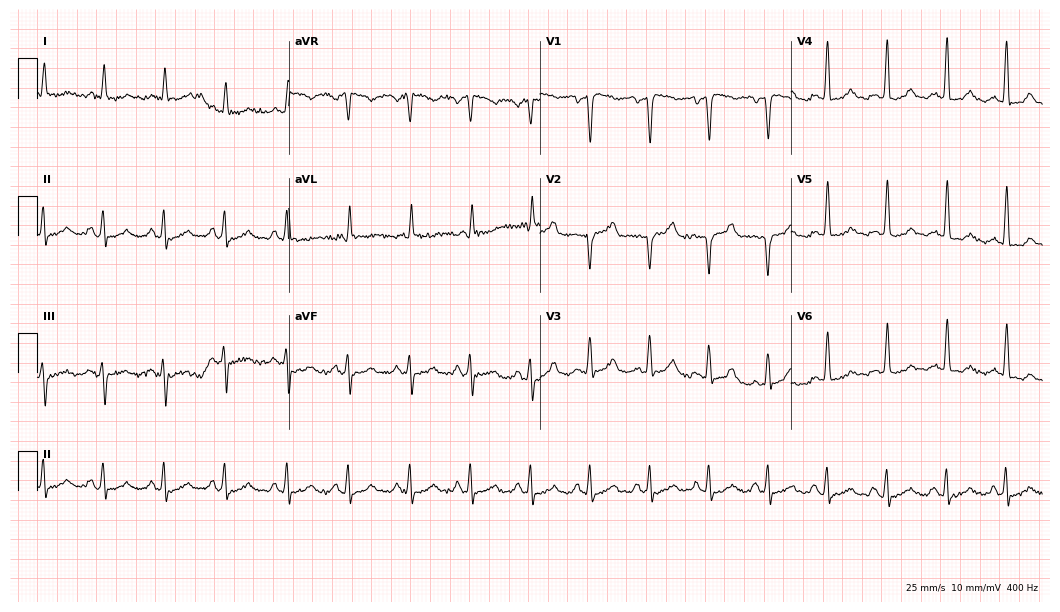
Electrocardiogram (10.2-second recording at 400 Hz), a man, 60 years old. Overall reading on record: normal ECG.